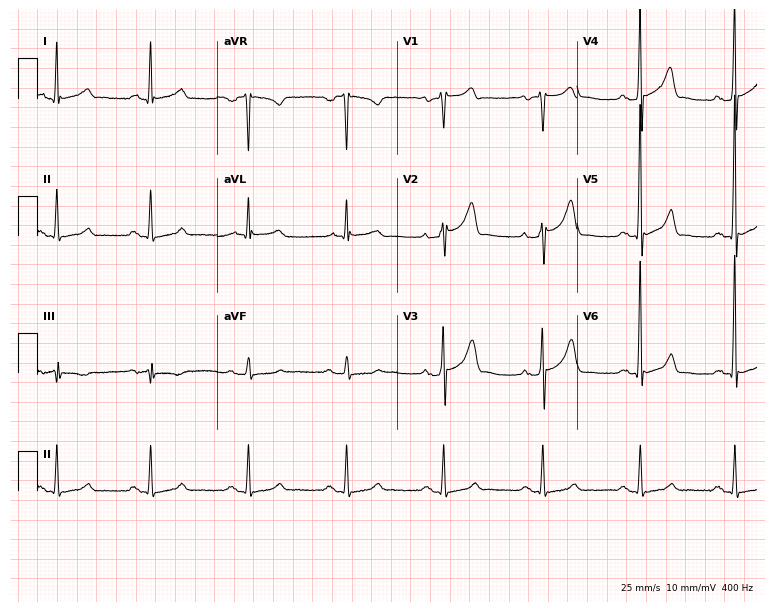
Resting 12-lead electrocardiogram. Patient: a male, 64 years old. None of these six findings is recorded: first-degree AV block, right bundle branch block, left bundle branch block, sinus bradycardia, atrial fibrillation, sinus tachycardia. Other findings, if any, are not listed.